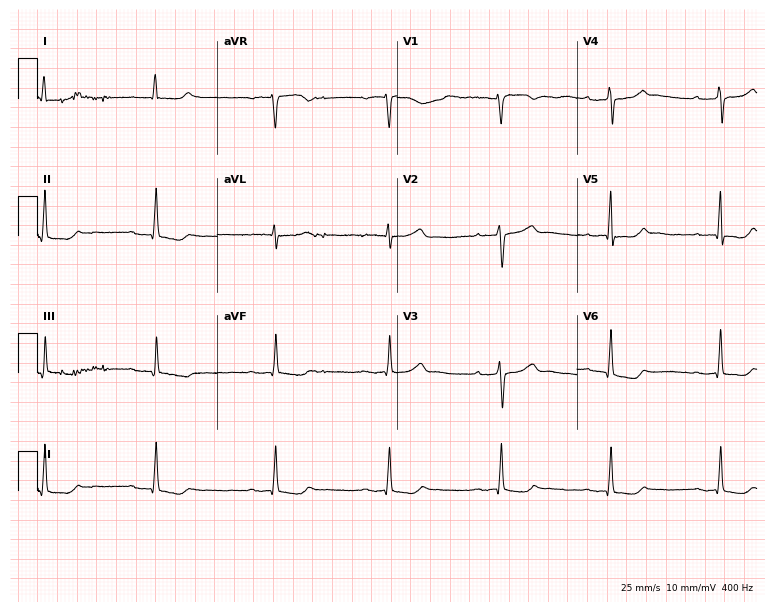
12-lead ECG from a woman, 68 years old. Shows first-degree AV block.